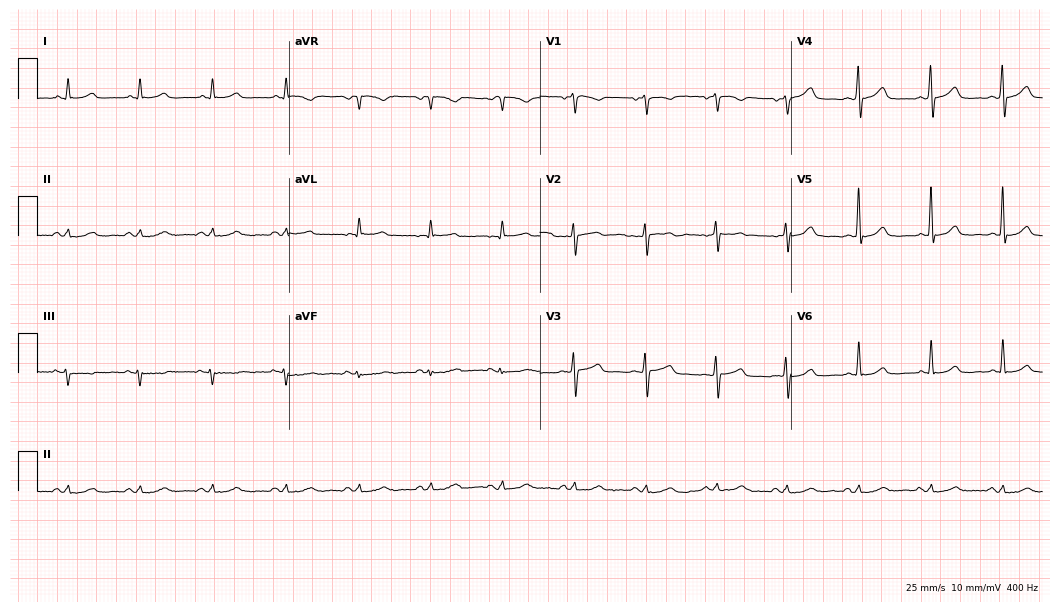
12-lead ECG from a 54-year-old female patient (10.2-second recording at 400 Hz). Recorded interpretation: within normal limits.